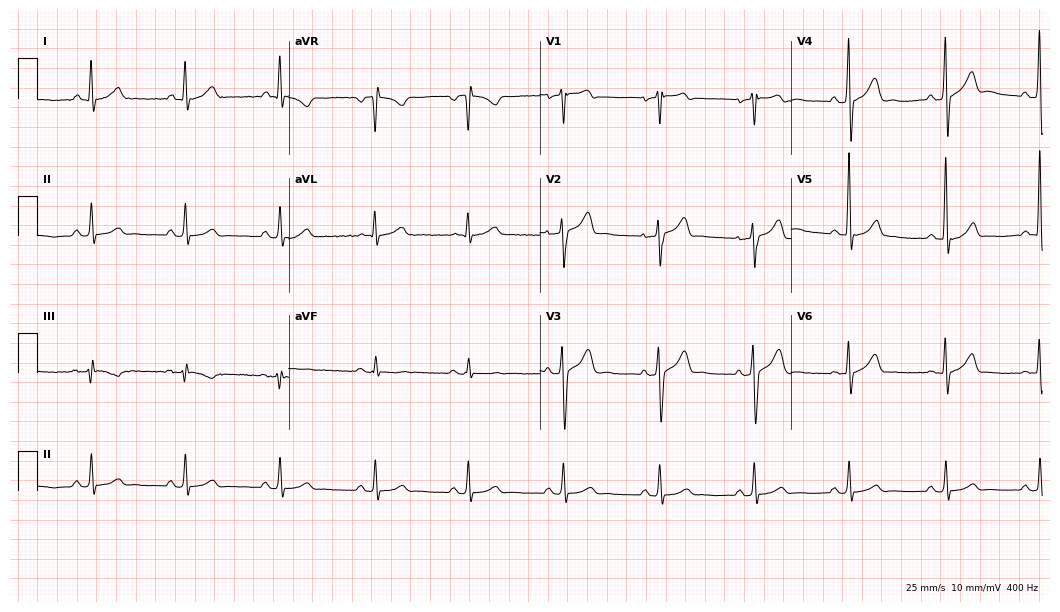
ECG (10.2-second recording at 400 Hz) — a male patient, 57 years old. Labelled as a normal ECG.